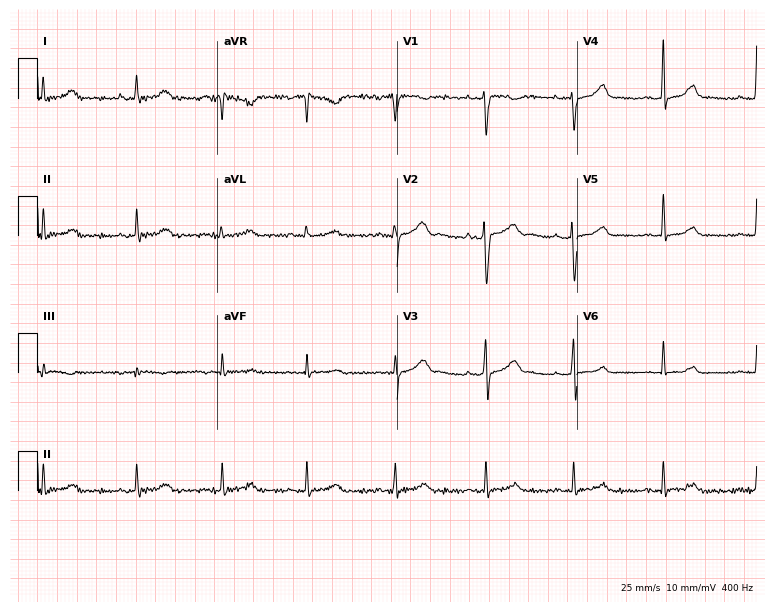
Resting 12-lead electrocardiogram (7.3-second recording at 400 Hz). Patient: a 37-year-old female. Read as a normal ECG.